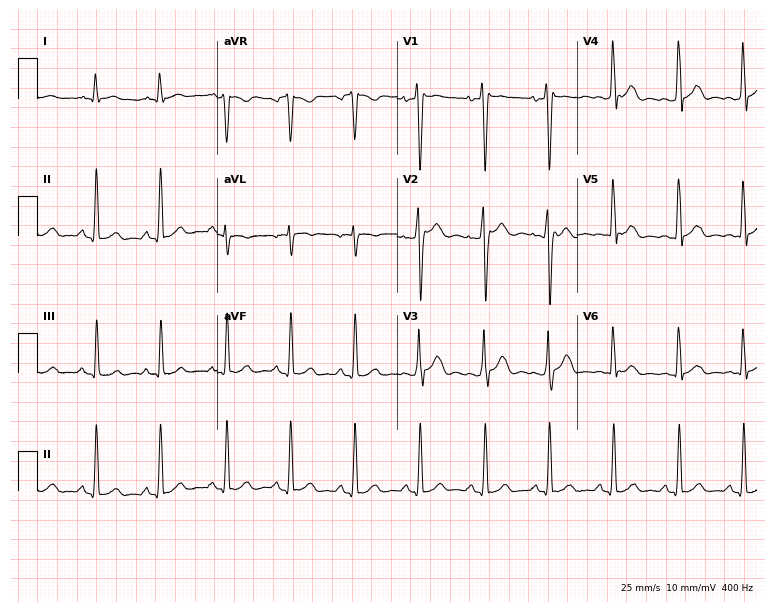
12-lead ECG from an 18-year-old male (7.3-second recording at 400 Hz). No first-degree AV block, right bundle branch block, left bundle branch block, sinus bradycardia, atrial fibrillation or sinus tachycardia recorded for this tracing.